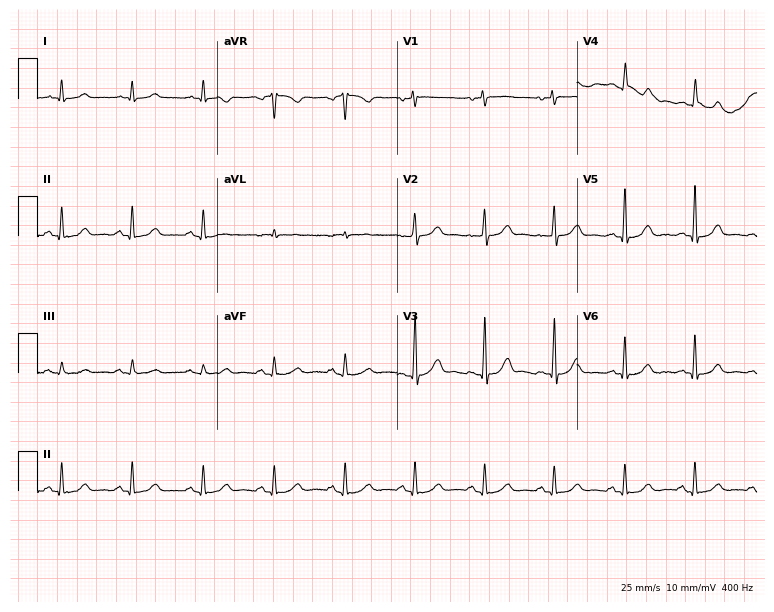
ECG (7.3-second recording at 400 Hz) — a male patient, 68 years old. Labelled as a normal ECG.